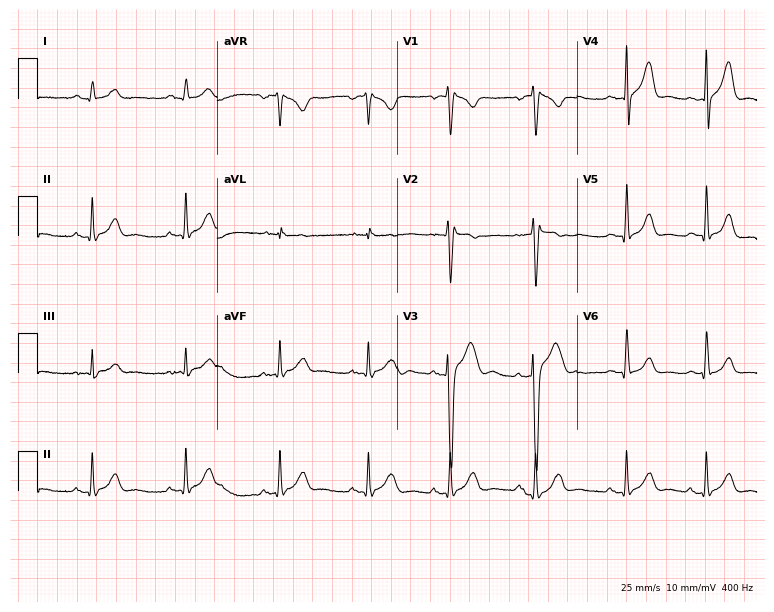
12-lead ECG from a 20-year-old male patient. No first-degree AV block, right bundle branch block (RBBB), left bundle branch block (LBBB), sinus bradycardia, atrial fibrillation (AF) or sinus tachycardia recorded for this tracing. Findings outside these six are not listed.